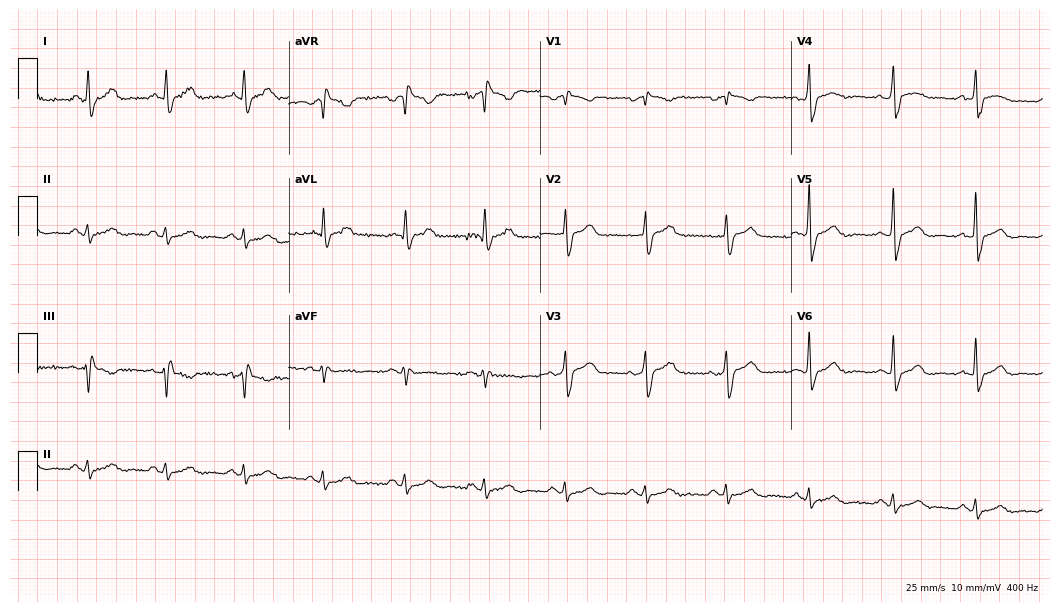
ECG (10.2-second recording at 400 Hz) — a male, 63 years old. Screened for six findings — first-degree AV block, right bundle branch block, left bundle branch block, sinus bradycardia, atrial fibrillation, sinus tachycardia — none is recorded.